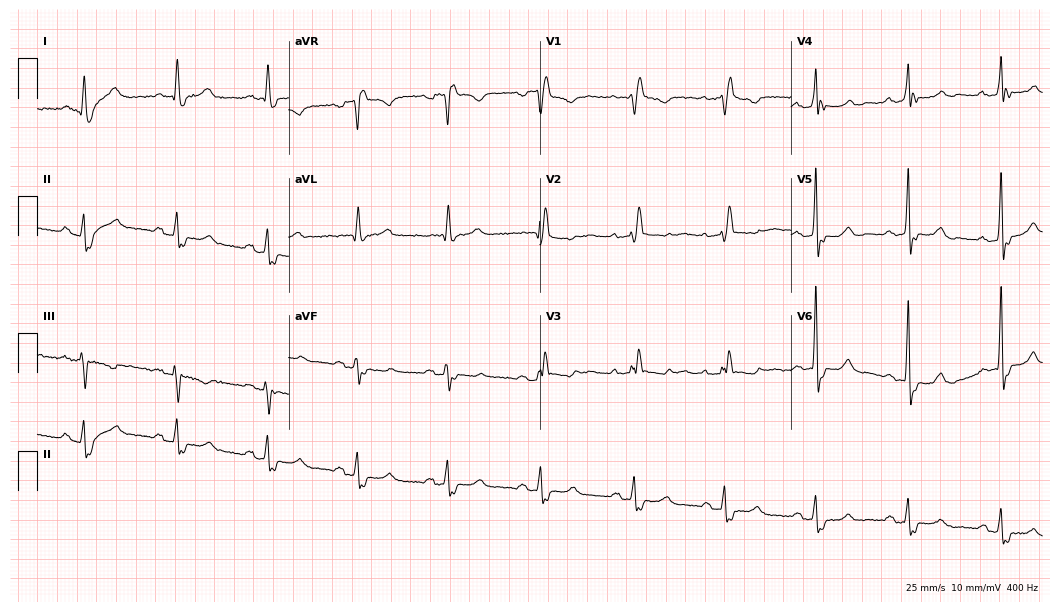
Resting 12-lead electrocardiogram. Patient: a 77-year-old man. The tracing shows right bundle branch block.